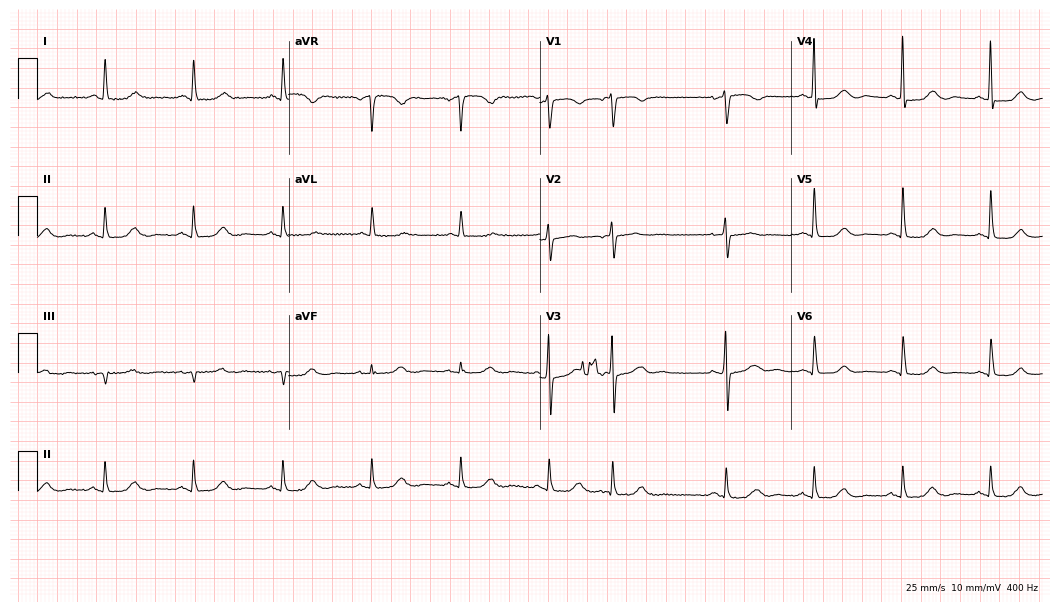
12-lead ECG from an 80-year-old female. No first-degree AV block, right bundle branch block, left bundle branch block, sinus bradycardia, atrial fibrillation or sinus tachycardia recorded for this tracing. Findings outside these six are not listed.